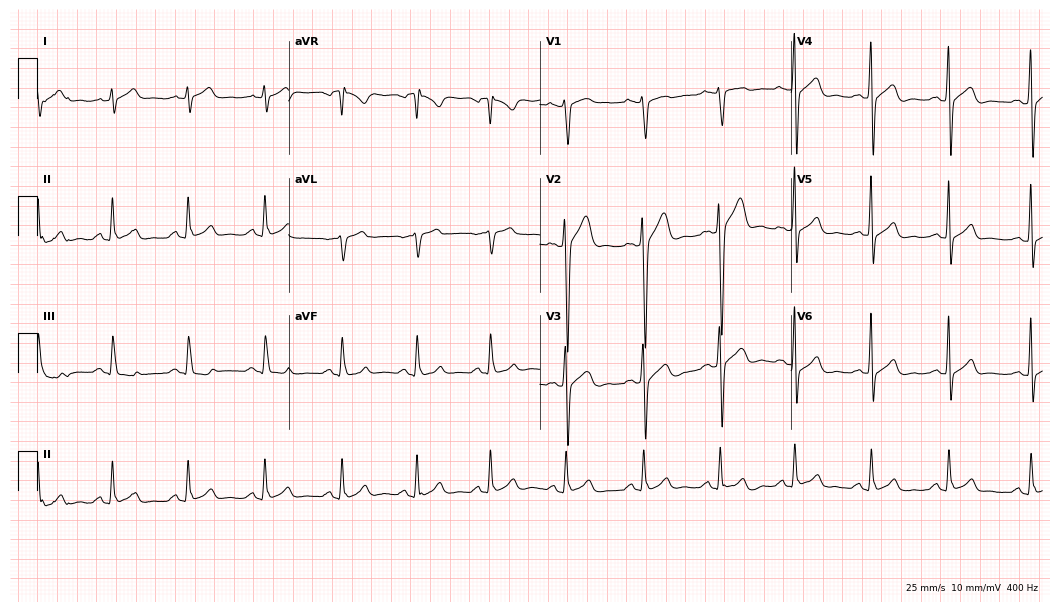
Standard 12-lead ECG recorded from a 31-year-old male. None of these six findings is recorded: first-degree AV block, right bundle branch block, left bundle branch block, sinus bradycardia, atrial fibrillation, sinus tachycardia.